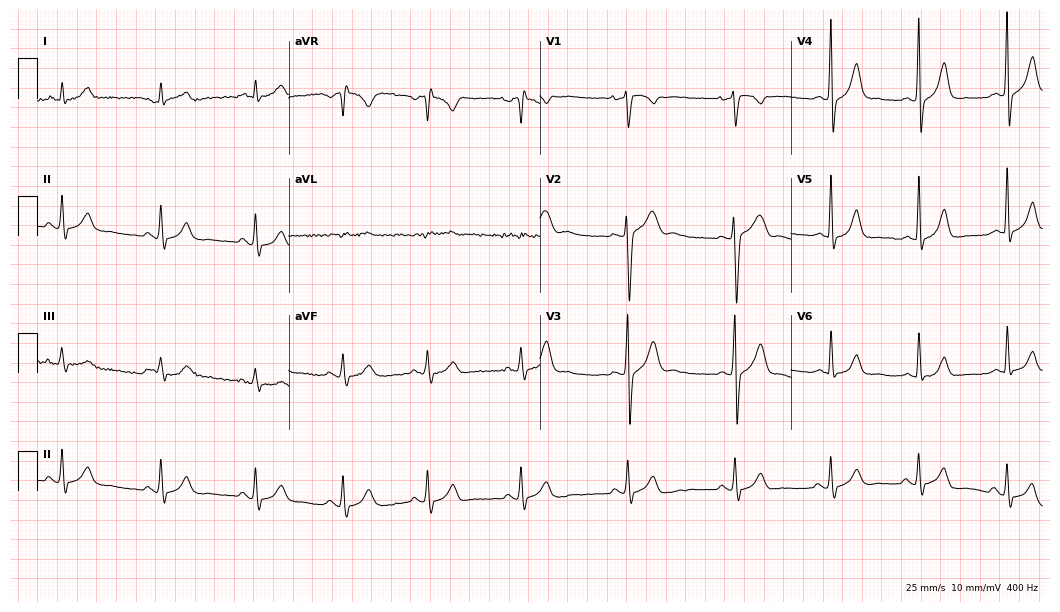
Resting 12-lead electrocardiogram (10.2-second recording at 400 Hz). Patient: a male, 30 years old. Read as a normal ECG.